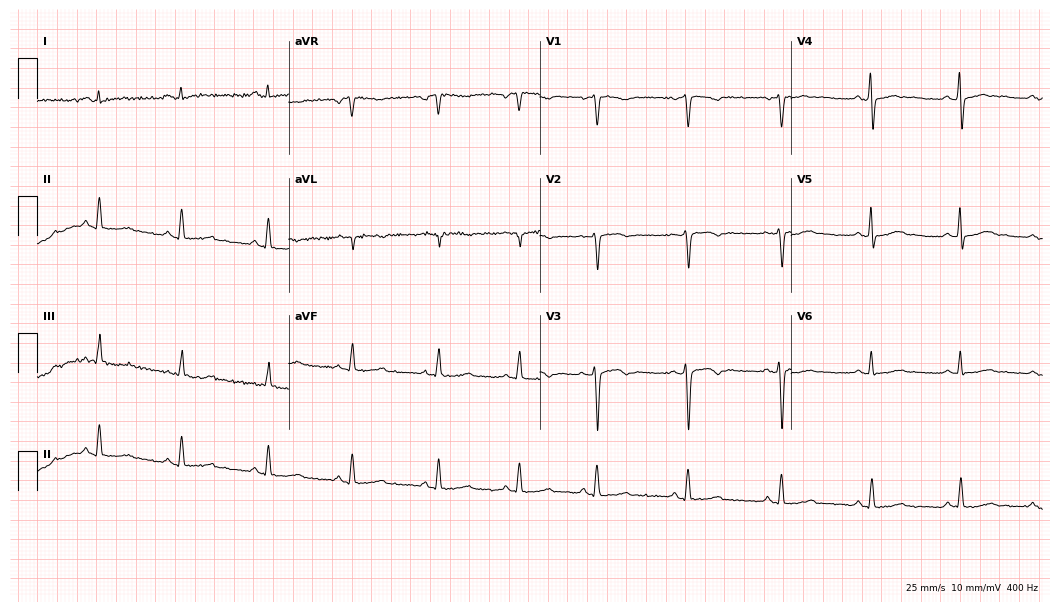
Resting 12-lead electrocardiogram. Patient: a female, 24 years old. None of these six findings is recorded: first-degree AV block, right bundle branch block (RBBB), left bundle branch block (LBBB), sinus bradycardia, atrial fibrillation (AF), sinus tachycardia. Only these six findings were labelled.